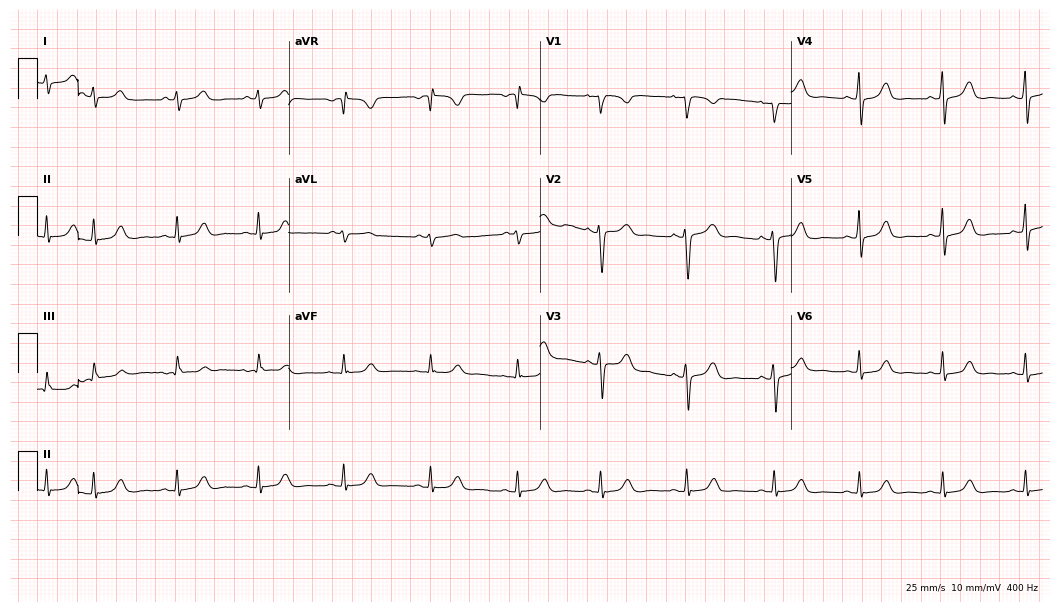
12-lead ECG from a woman, 46 years old. Recorded interpretation: within normal limits.